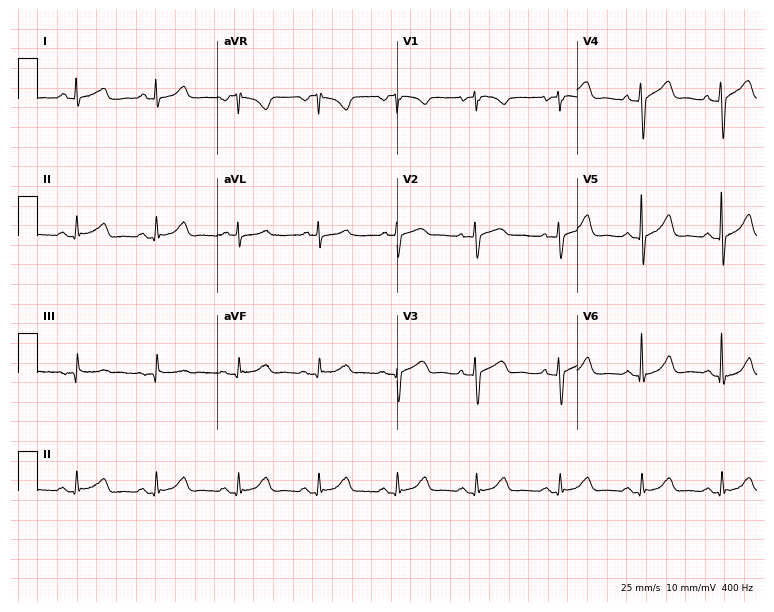
12-lead ECG (7.3-second recording at 400 Hz) from a 55-year-old female patient. Screened for six findings — first-degree AV block, right bundle branch block, left bundle branch block, sinus bradycardia, atrial fibrillation, sinus tachycardia — none is recorded.